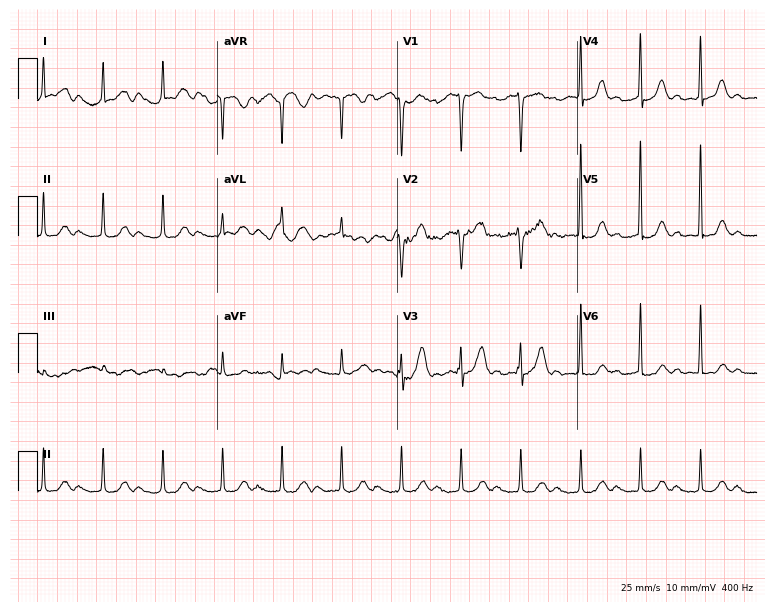
Electrocardiogram (7.3-second recording at 400 Hz), an 82-year-old woman. Interpretation includes first-degree AV block.